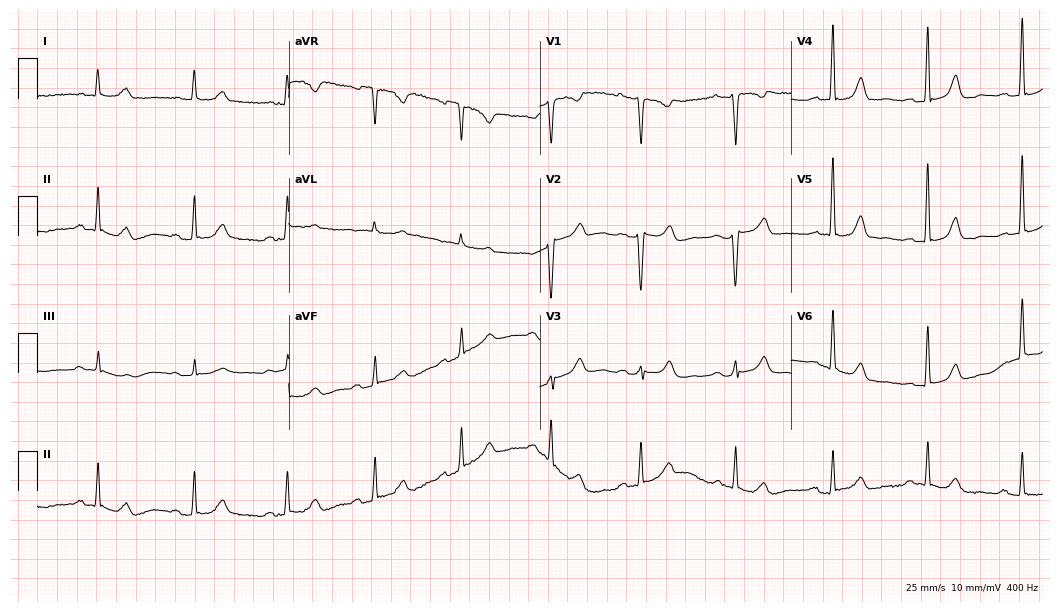
Resting 12-lead electrocardiogram (10.2-second recording at 400 Hz). Patient: a female, 79 years old. None of these six findings is recorded: first-degree AV block, right bundle branch block, left bundle branch block, sinus bradycardia, atrial fibrillation, sinus tachycardia.